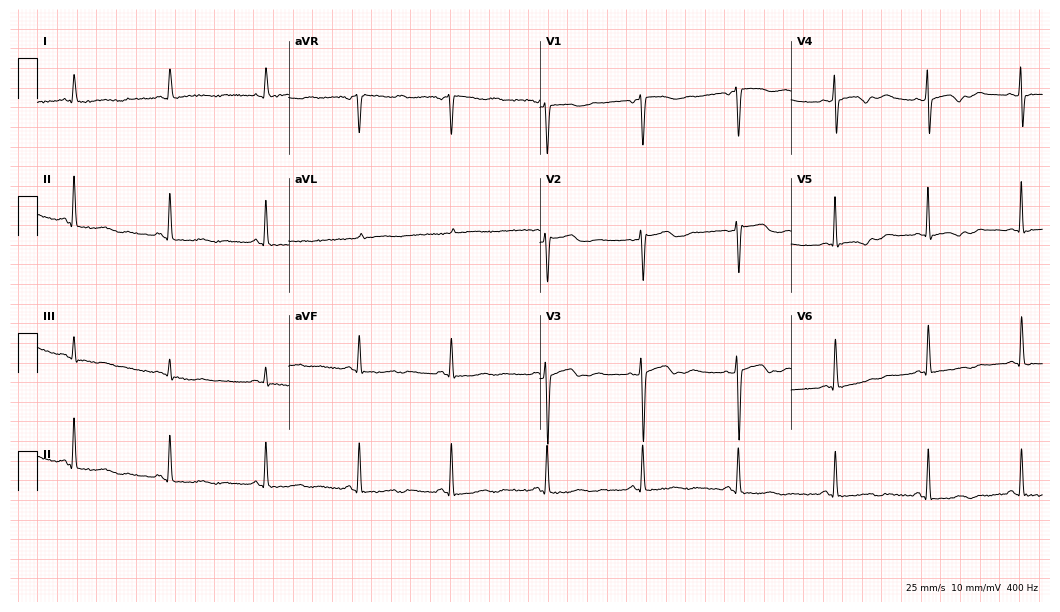
Electrocardiogram, a 63-year-old woman. Of the six screened findings (first-degree AV block, right bundle branch block, left bundle branch block, sinus bradycardia, atrial fibrillation, sinus tachycardia), none is recorded.